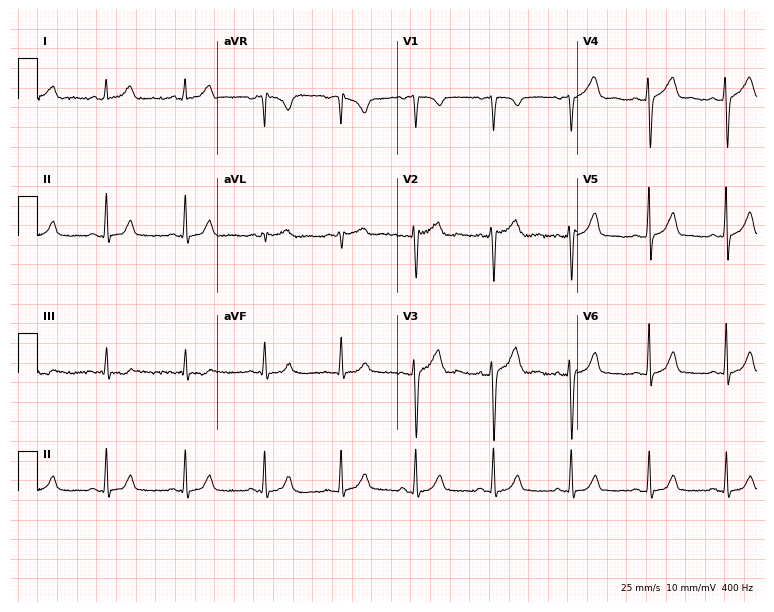
12-lead ECG from a 30-year-old woman (7.3-second recording at 400 Hz). Recorded interpretation: within normal limits.